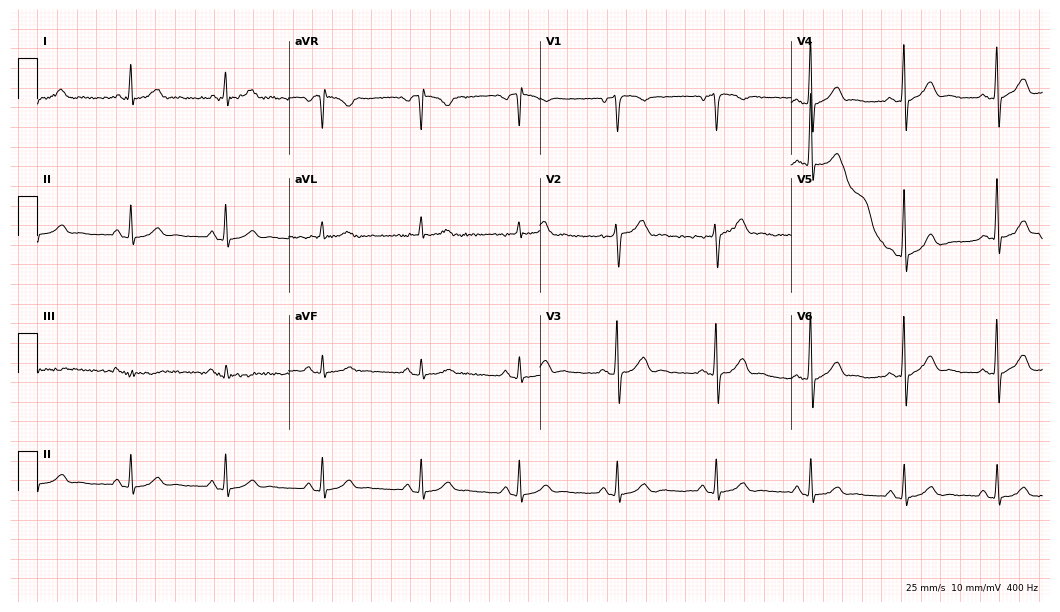
ECG — a man, 74 years old. Labelled as a normal ECG.